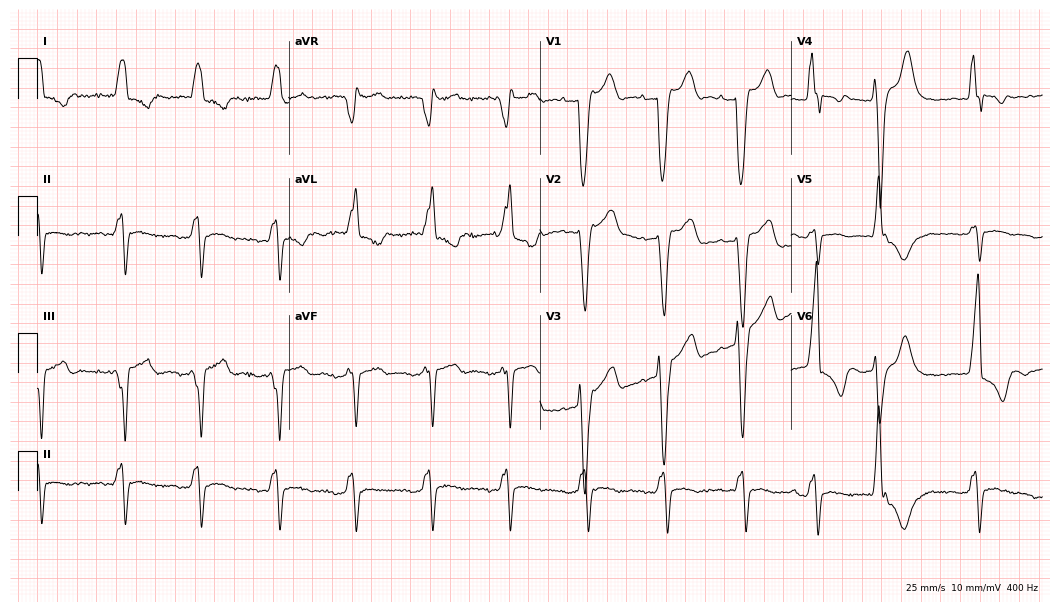
Standard 12-lead ECG recorded from a male patient, 71 years old (10.2-second recording at 400 Hz). The tracing shows left bundle branch block.